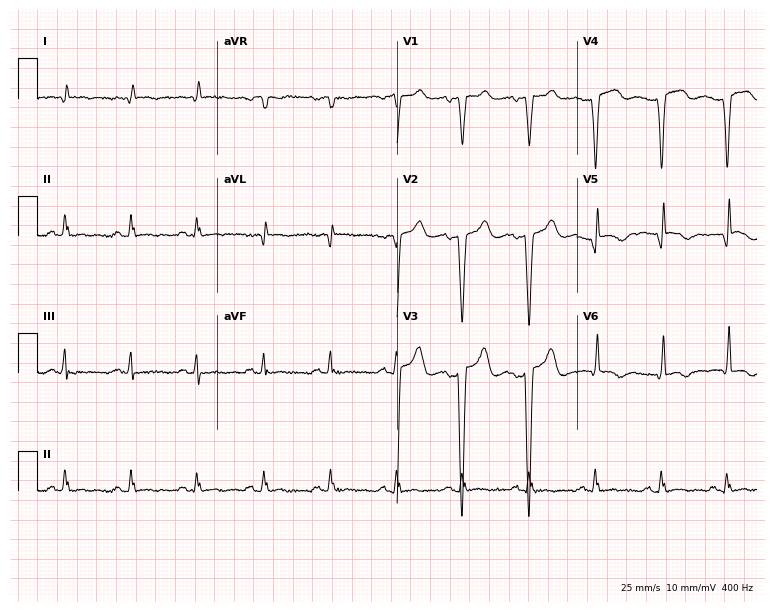
ECG — a female, 71 years old. Screened for six findings — first-degree AV block, right bundle branch block, left bundle branch block, sinus bradycardia, atrial fibrillation, sinus tachycardia — none is recorded. Findings outside these six are not listed.